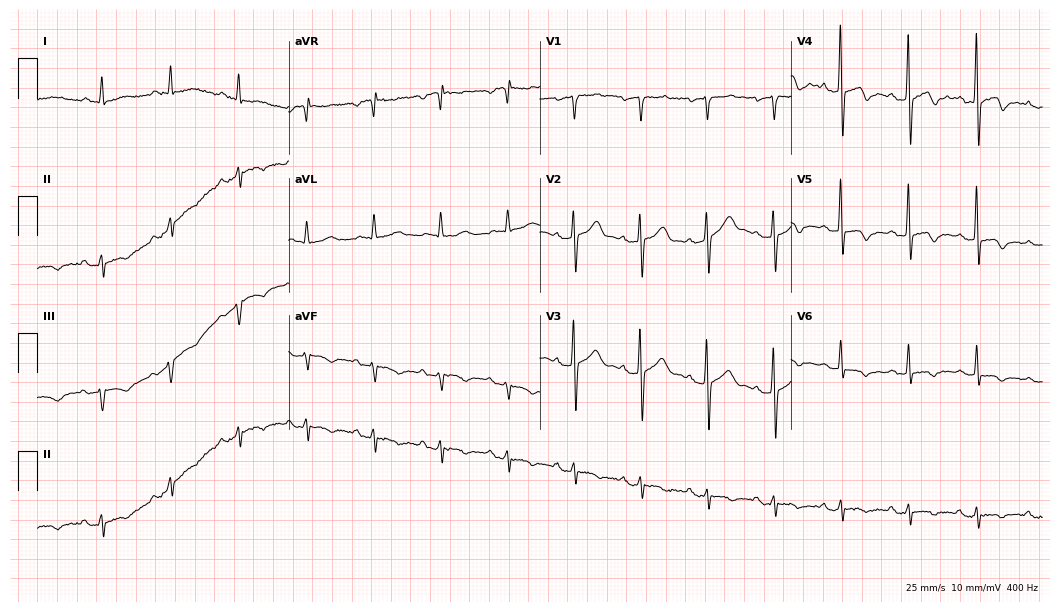
ECG (10.2-second recording at 400 Hz) — a man, 73 years old. Screened for six findings — first-degree AV block, right bundle branch block (RBBB), left bundle branch block (LBBB), sinus bradycardia, atrial fibrillation (AF), sinus tachycardia — none is recorded.